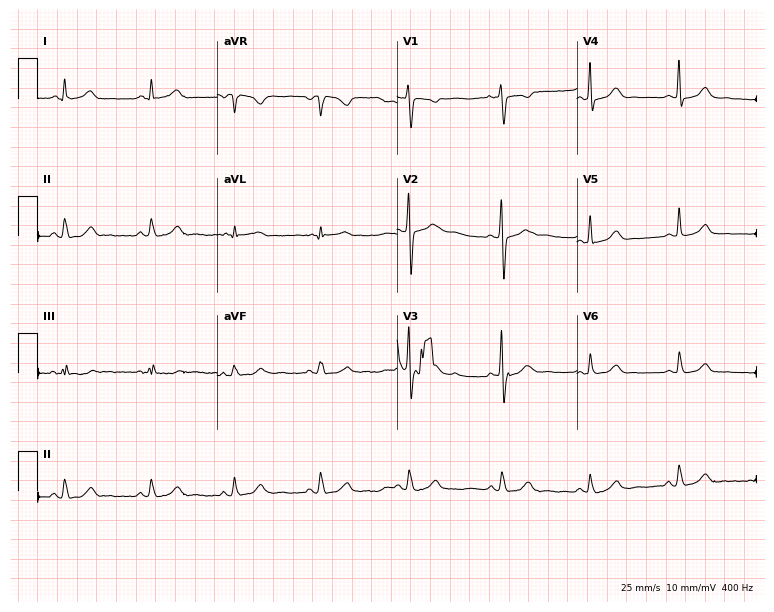
Electrocardiogram (7.3-second recording at 400 Hz), a 36-year-old man. Of the six screened findings (first-degree AV block, right bundle branch block, left bundle branch block, sinus bradycardia, atrial fibrillation, sinus tachycardia), none is recorded.